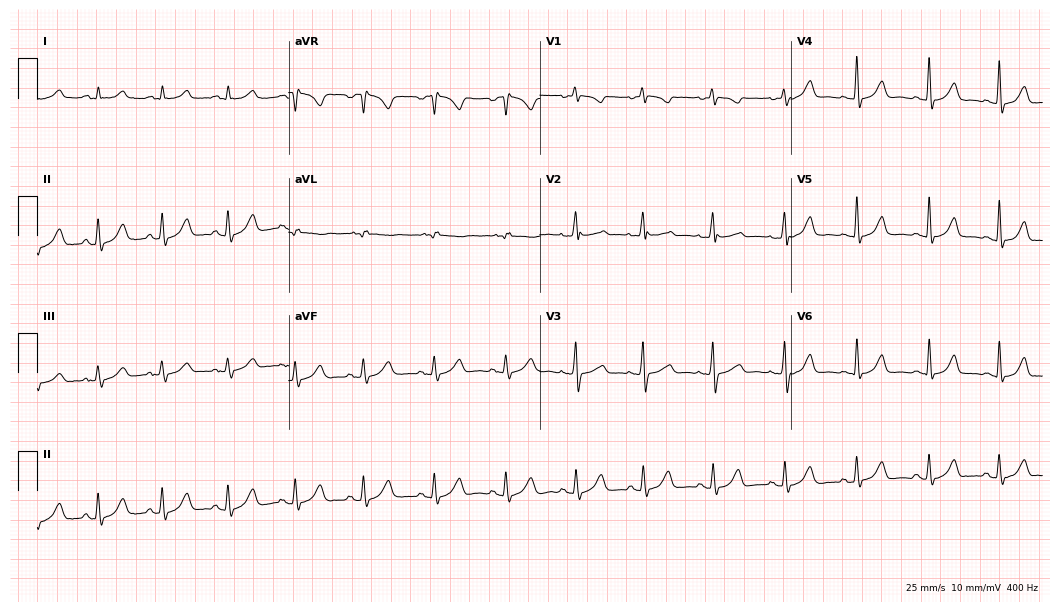
Standard 12-lead ECG recorded from a female, 29 years old. Read as a normal ECG.